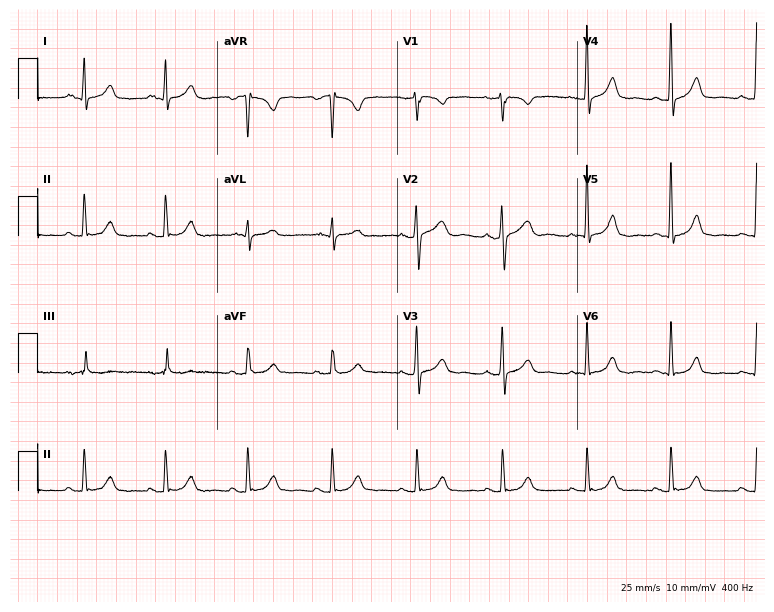
Resting 12-lead electrocardiogram. Patient: a female, 45 years old. Read as a normal ECG.